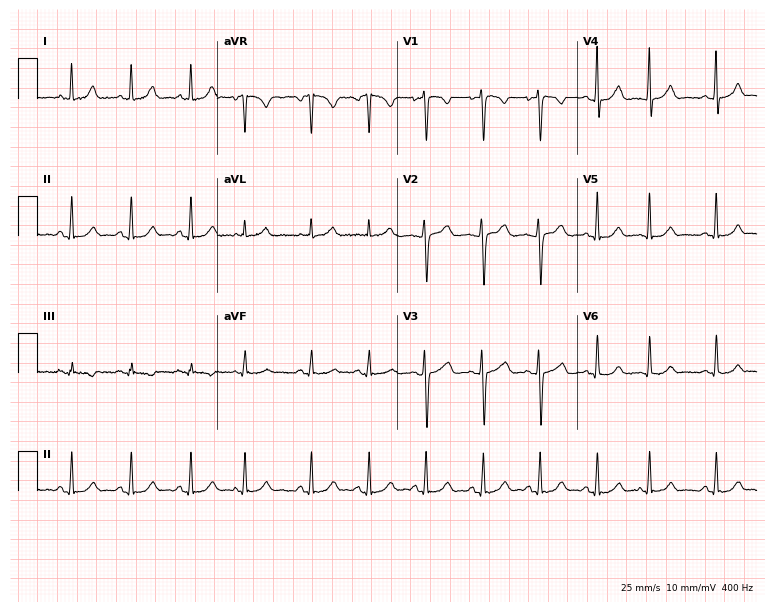
Resting 12-lead electrocardiogram (7.3-second recording at 400 Hz). Patient: an 18-year-old female. None of these six findings is recorded: first-degree AV block, right bundle branch block, left bundle branch block, sinus bradycardia, atrial fibrillation, sinus tachycardia. Other findings, if any, are not listed.